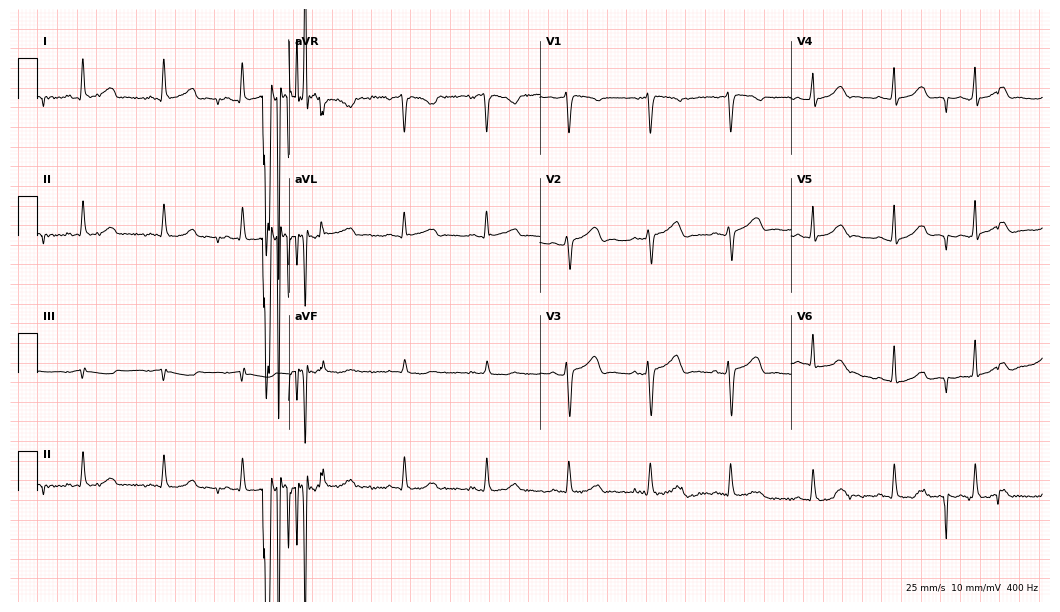
12-lead ECG from a woman, 37 years old (10.2-second recording at 400 Hz). Recorded interpretation: within normal limits.